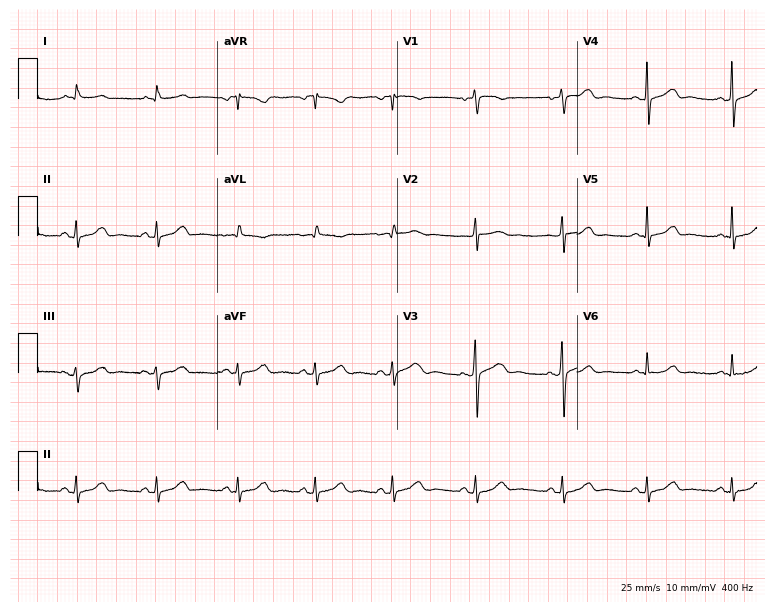
Resting 12-lead electrocardiogram. Patient: a female, 75 years old. Read as a normal ECG.